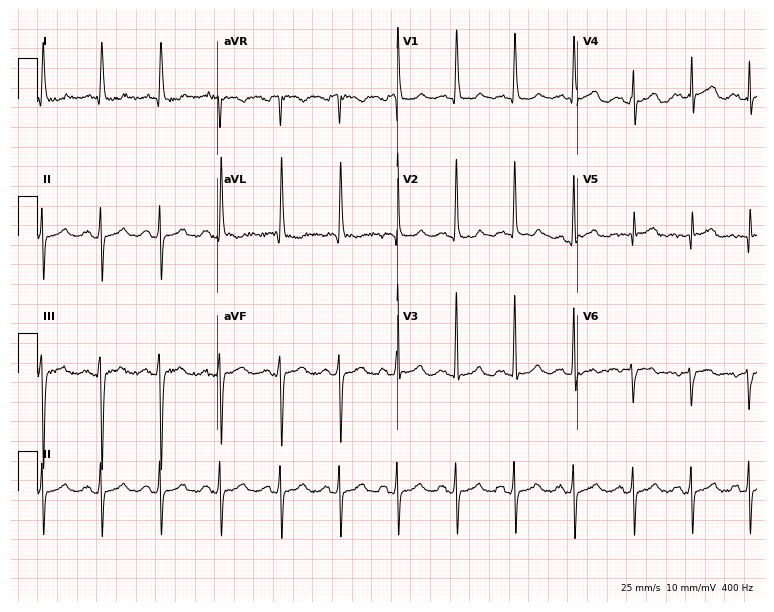
ECG — a 68-year-old female. Screened for six findings — first-degree AV block, right bundle branch block (RBBB), left bundle branch block (LBBB), sinus bradycardia, atrial fibrillation (AF), sinus tachycardia — none is recorded. Findings outside these six are not listed.